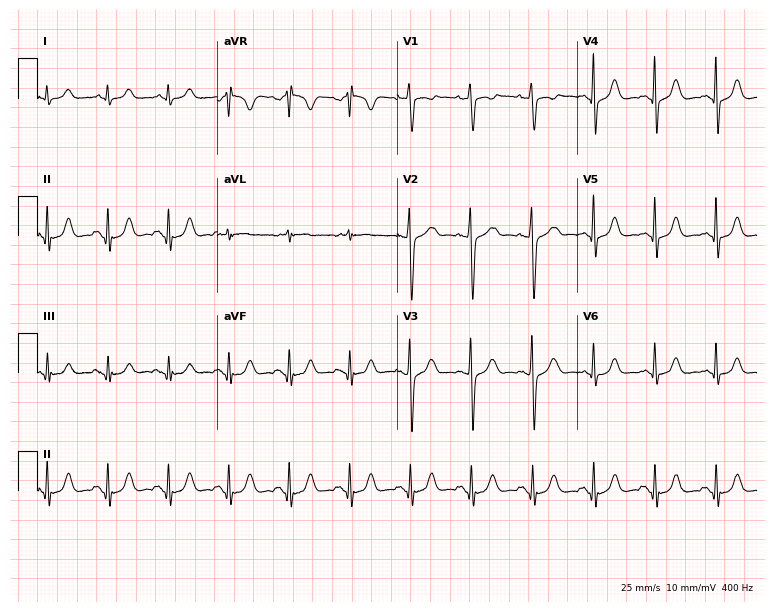
12-lead ECG from a male, 64 years old. Labelled as a normal ECG.